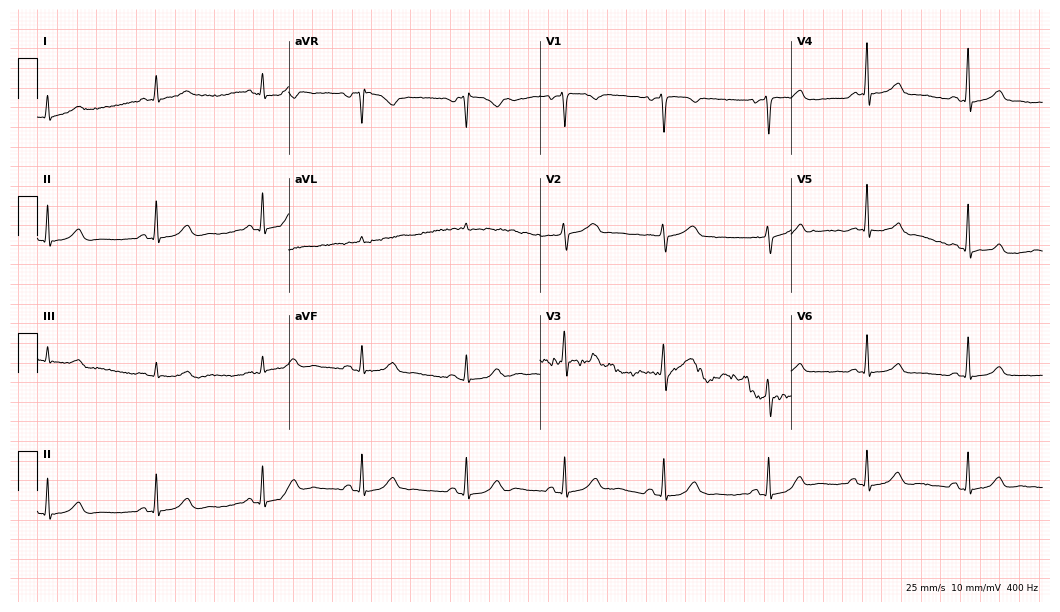
12-lead ECG from a woman, 57 years old (10.2-second recording at 400 Hz). Recorded interpretation: within normal limits.